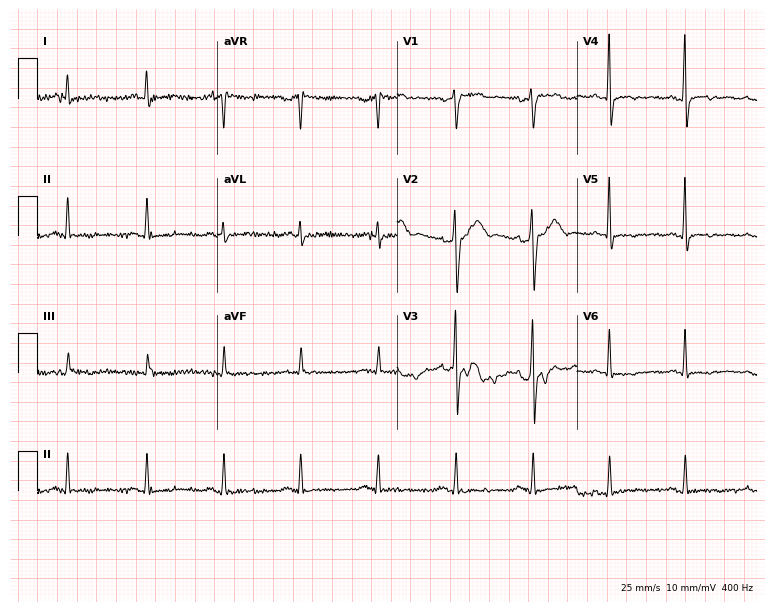
Electrocardiogram, a 54-year-old male. Of the six screened findings (first-degree AV block, right bundle branch block (RBBB), left bundle branch block (LBBB), sinus bradycardia, atrial fibrillation (AF), sinus tachycardia), none is recorded. Findings outside these six are not listed.